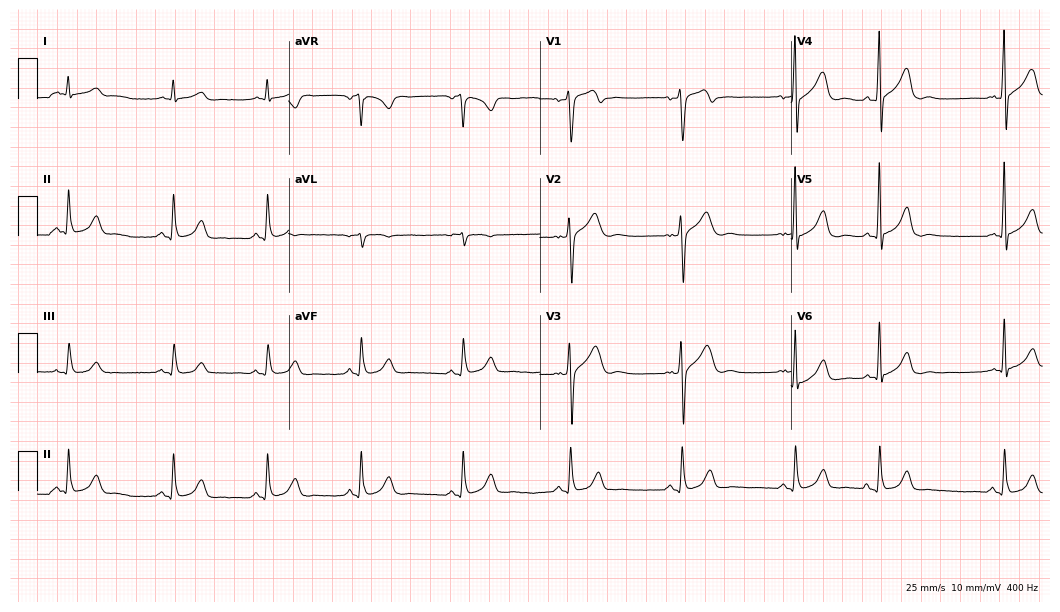
Electrocardiogram, a man, 58 years old. Overall reading on record: normal ECG.